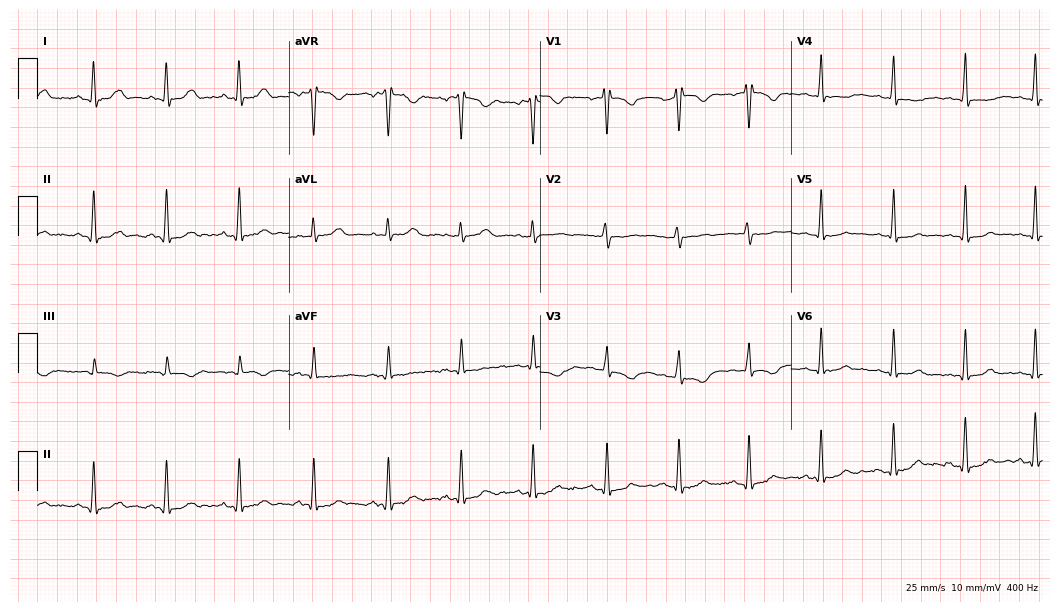
Resting 12-lead electrocardiogram (10.2-second recording at 400 Hz). Patient: a female, 18 years old. None of these six findings is recorded: first-degree AV block, right bundle branch block, left bundle branch block, sinus bradycardia, atrial fibrillation, sinus tachycardia.